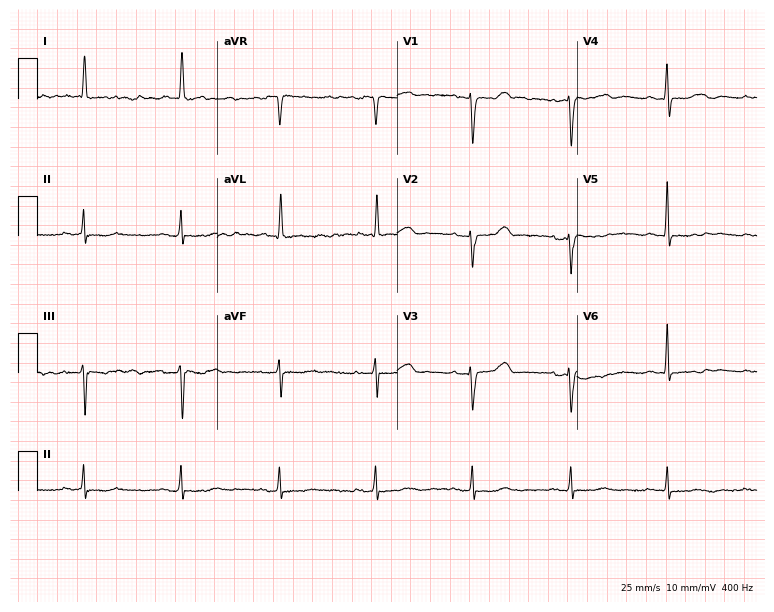
Standard 12-lead ECG recorded from a woman, 74 years old. Read as a normal ECG.